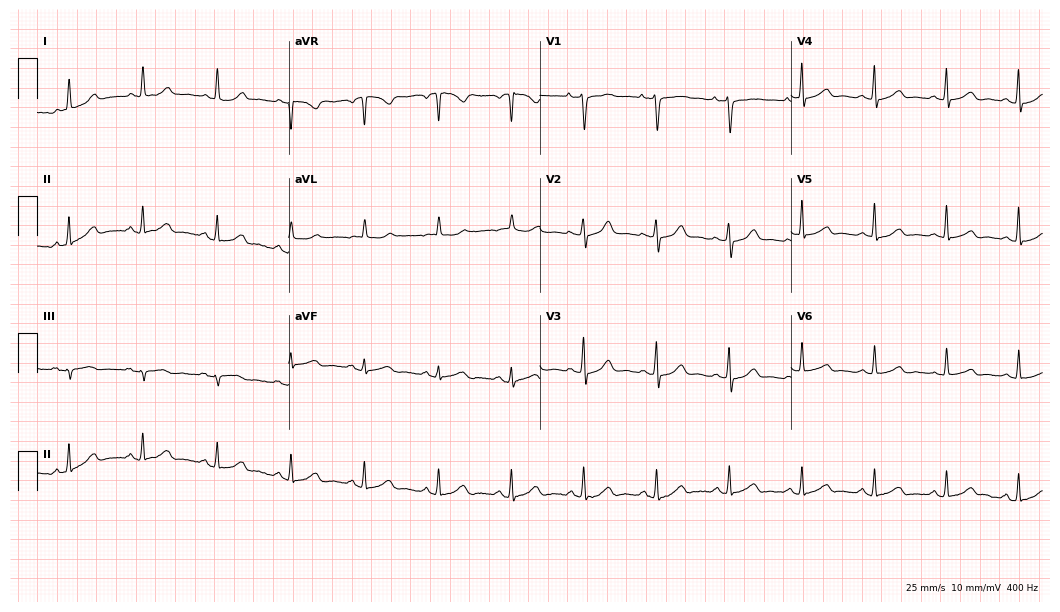
12-lead ECG from a woman, 58 years old (10.2-second recording at 400 Hz). No first-degree AV block, right bundle branch block (RBBB), left bundle branch block (LBBB), sinus bradycardia, atrial fibrillation (AF) or sinus tachycardia recorded for this tracing.